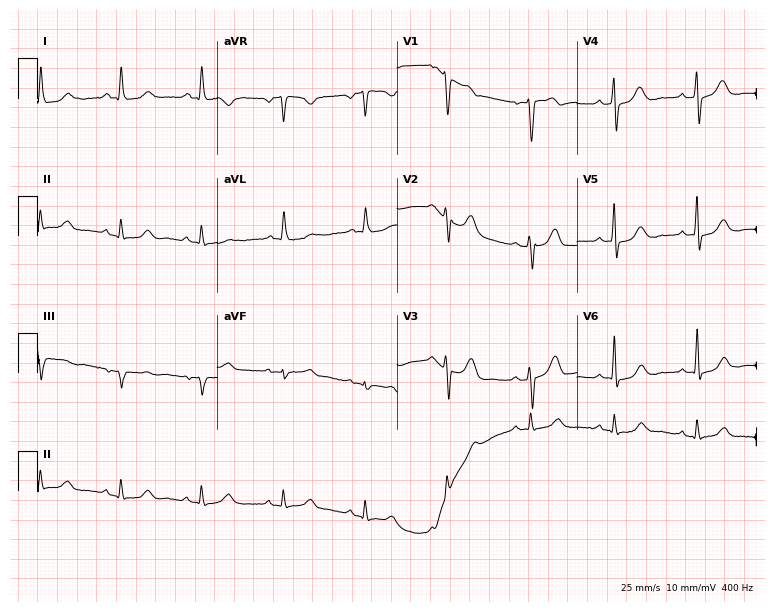
12-lead ECG from a 72-year-old female patient (7.3-second recording at 400 Hz). No first-degree AV block, right bundle branch block (RBBB), left bundle branch block (LBBB), sinus bradycardia, atrial fibrillation (AF) or sinus tachycardia recorded for this tracing.